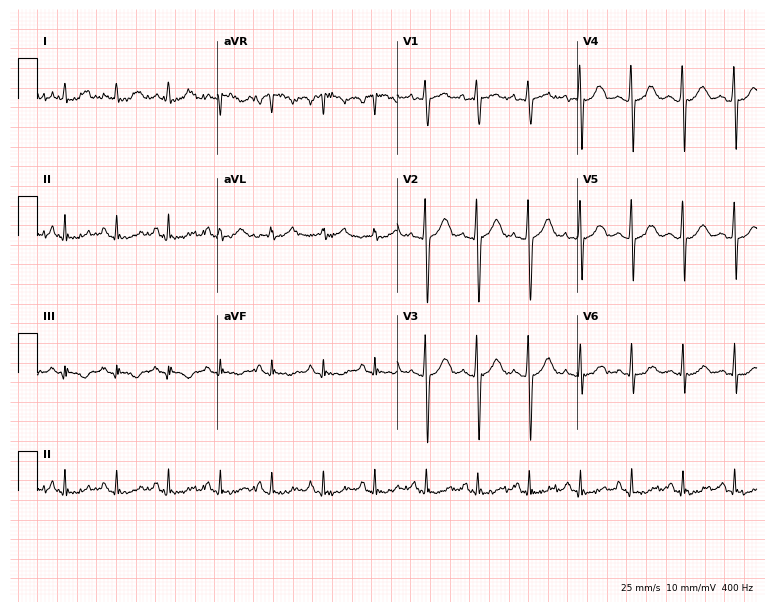
Resting 12-lead electrocardiogram. Patient: a female, 36 years old. The tracing shows sinus tachycardia (a sinus rate of 100 beats per minute or more).